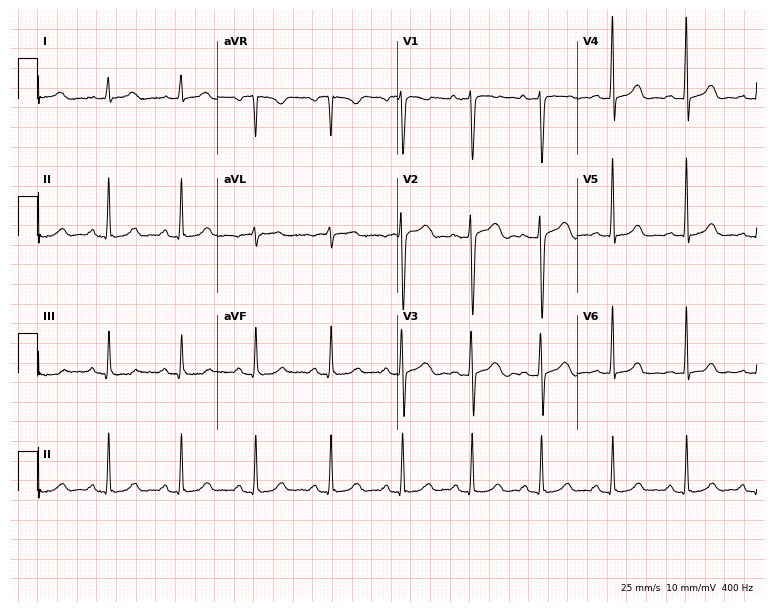
12-lead ECG from a woman, 37 years old. Screened for six findings — first-degree AV block, right bundle branch block, left bundle branch block, sinus bradycardia, atrial fibrillation, sinus tachycardia — none is recorded.